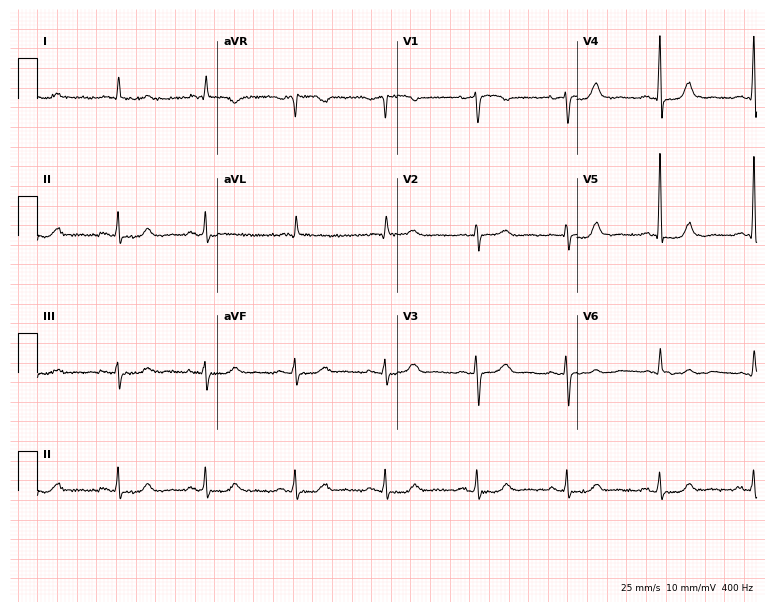
Resting 12-lead electrocardiogram. Patient: a woman, 79 years old. None of these six findings is recorded: first-degree AV block, right bundle branch block, left bundle branch block, sinus bradycardia, atrial fibrillation, sinus tachycardia.